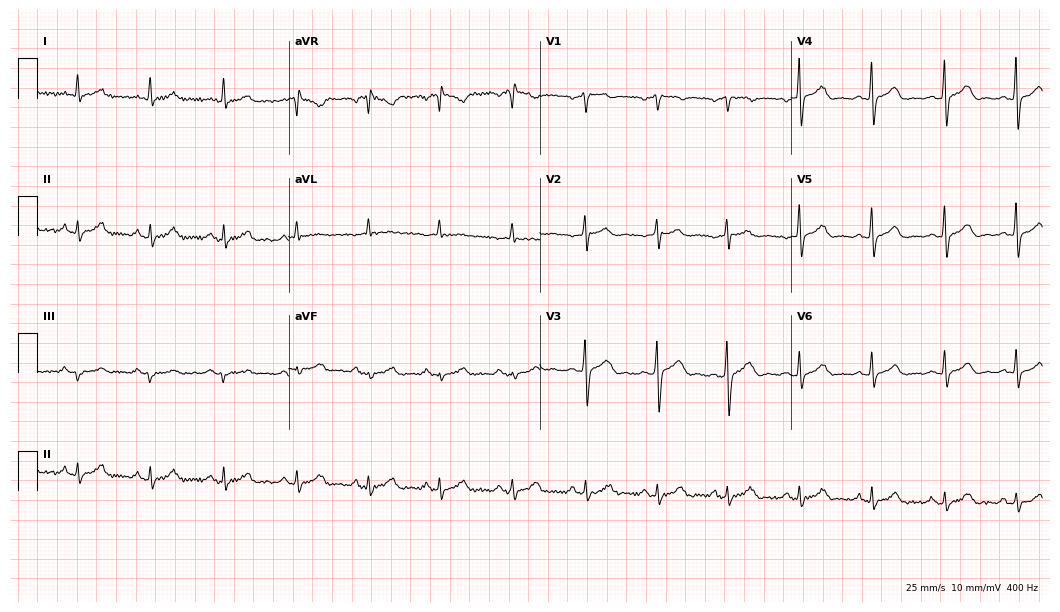
Standard 12-lead ECG recorded from a male patient, 39 years old (10.2-second recording at 400 Hz). Read as a normal ECG.